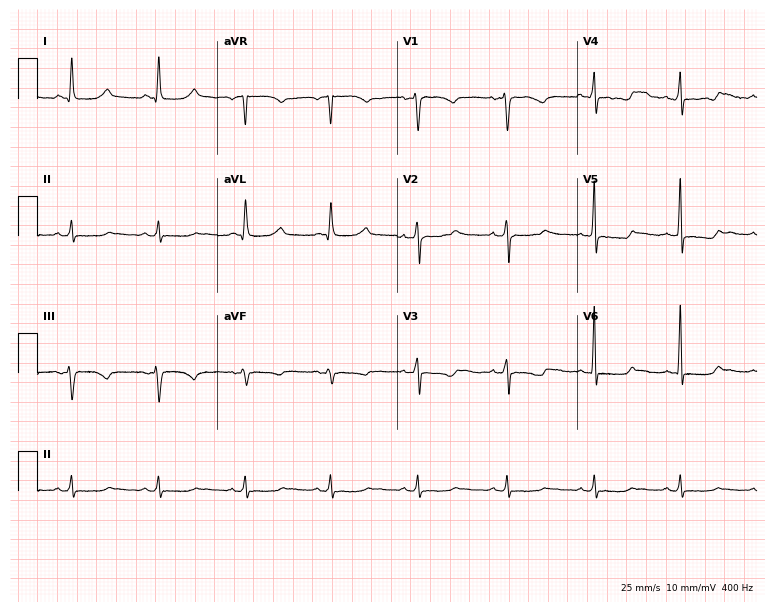
Resting 12-lead electrocardiogram. Patient: a male, 53 years old. None of these six findings is recorded: first-degree AV block, right bundle branch block, left bundle branch block, sinus bradycardia, atrial fibrillation, sinus tachycardia.